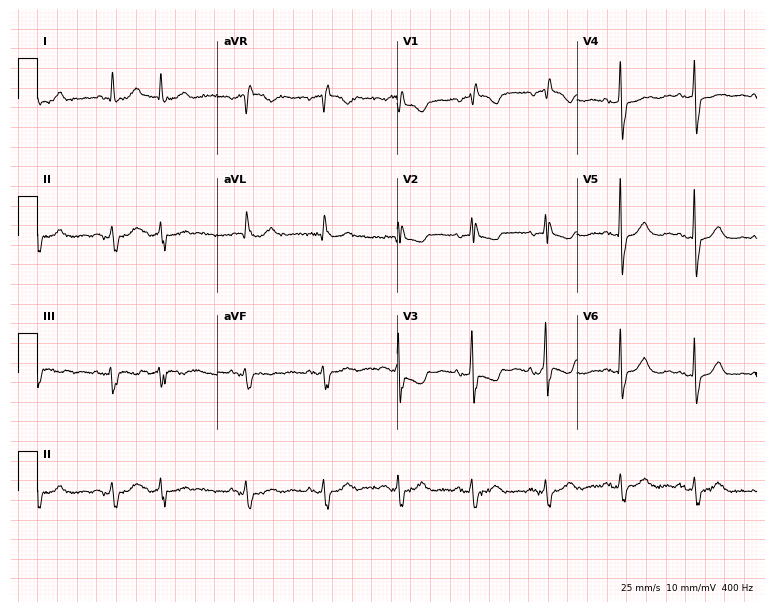
Standard 12-lead ECG recorded from an 85-year-old female. None of these six findings is recorded: first-degree AV block, right bundle branch block, left bundle branch block, sinus bradycardia, atrial fibrillation, sinus tachycardia. Findings outside these six are not listed.